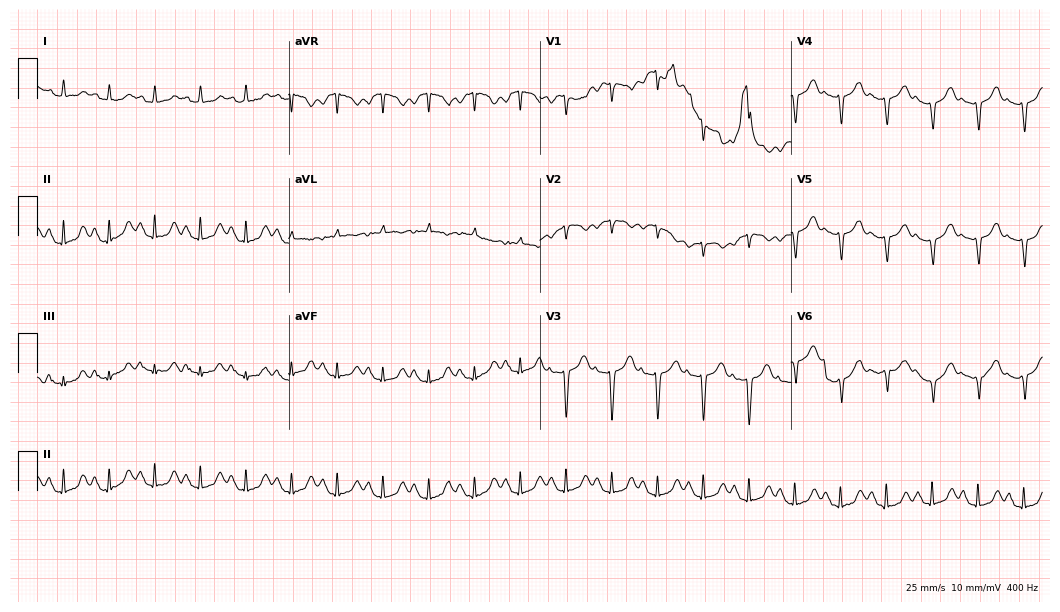
12-lead ECG (10.2-second recording at 400 Hz) from a 78-year-old female. Findings include sinus tachycardia (a sinus rate of 100 beats per minute or more).